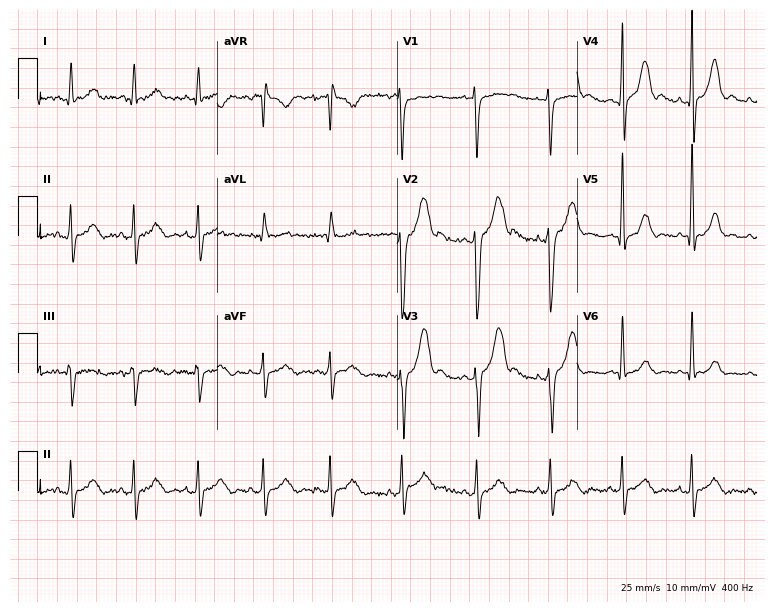
Standard 12-lead ECG recorded from a male, 45 years old (7.3-second recording at 400 Hz). None of these six findings is recorded: first-degree AV block, right bundle branch block, left bundle branch block, sinus bradycardia, atrial fibrillation, sinus tachycardia.